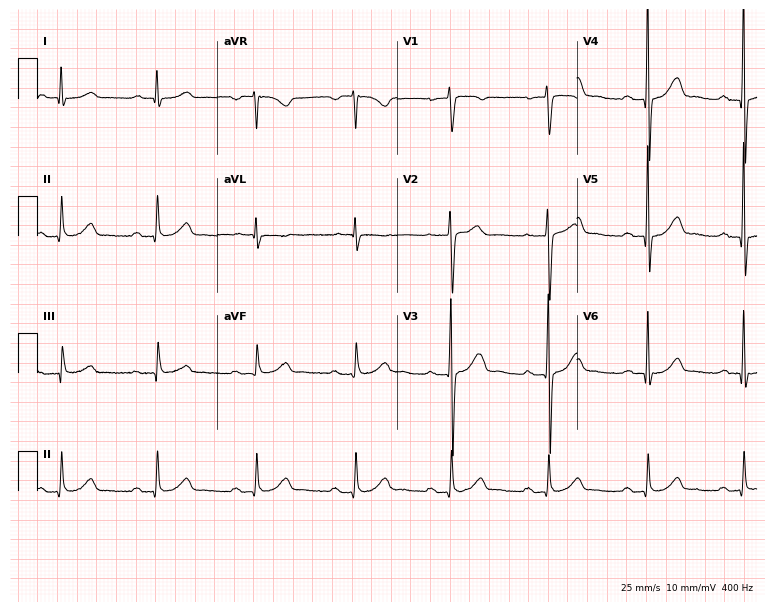
Electrocardiogram (7.3-second recording at 400 Hz), a male patient, 64 years old. Overall reading on record: normal ECG.